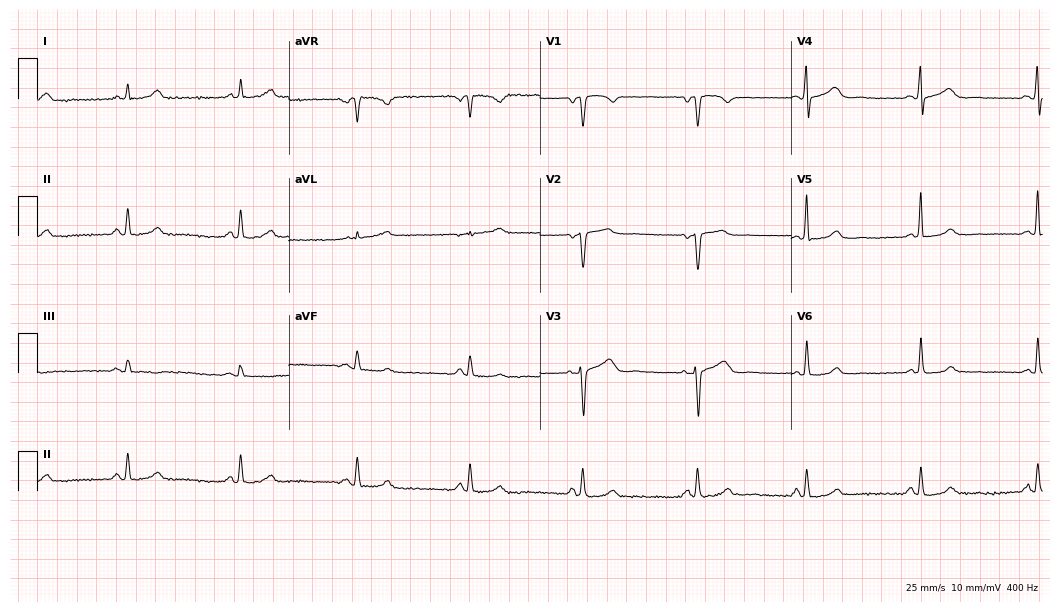
12-lead ECG (10.2-second recording at 400 Hz) from a woman, 57 years old. Screened for six findings — first-degree AV block, right bundle branch block, left bundle branch block, sinus bradycardia, atrial fibrillation, sinus tachycardia — none is recorded.